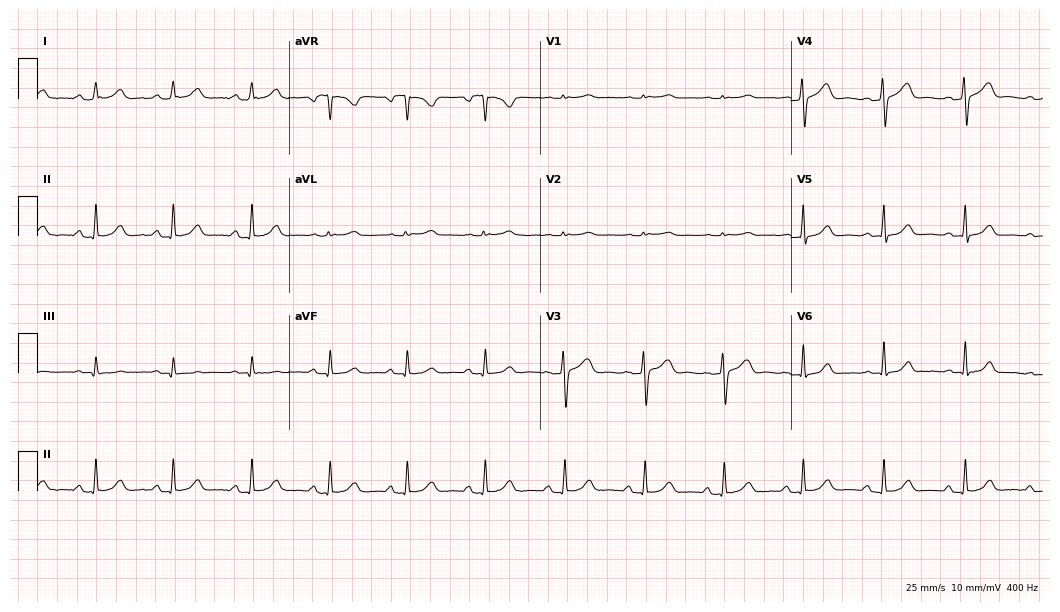
Electrocardiogram, a 33-year-old female patient. Overall reading on record: normal ECG.